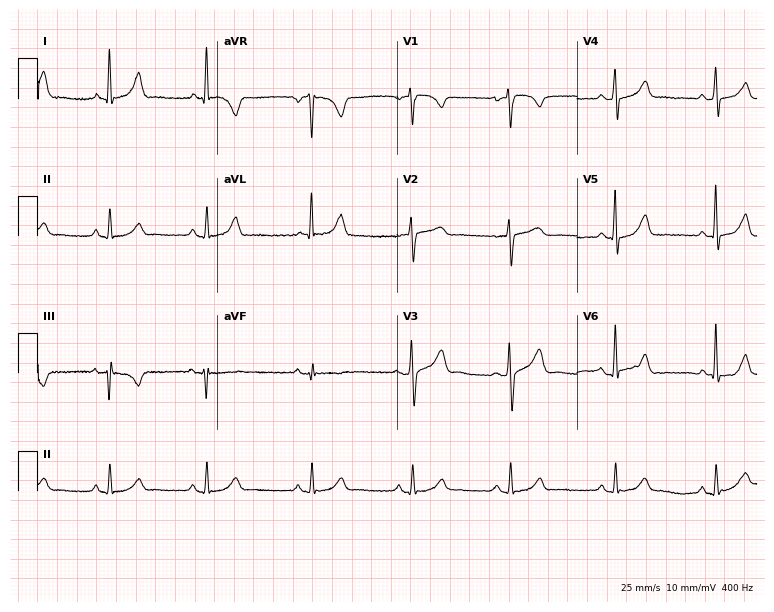
Resting 12-lead electrocardiogram. Patient: a female, 38 years old. None of these six findings is recorded: first-degree AV block, right bundle branch block, left bundle branch block, sinus bradycardia, atrial fibrillation, sinus tachycardia. Findings outside these six are not listed.